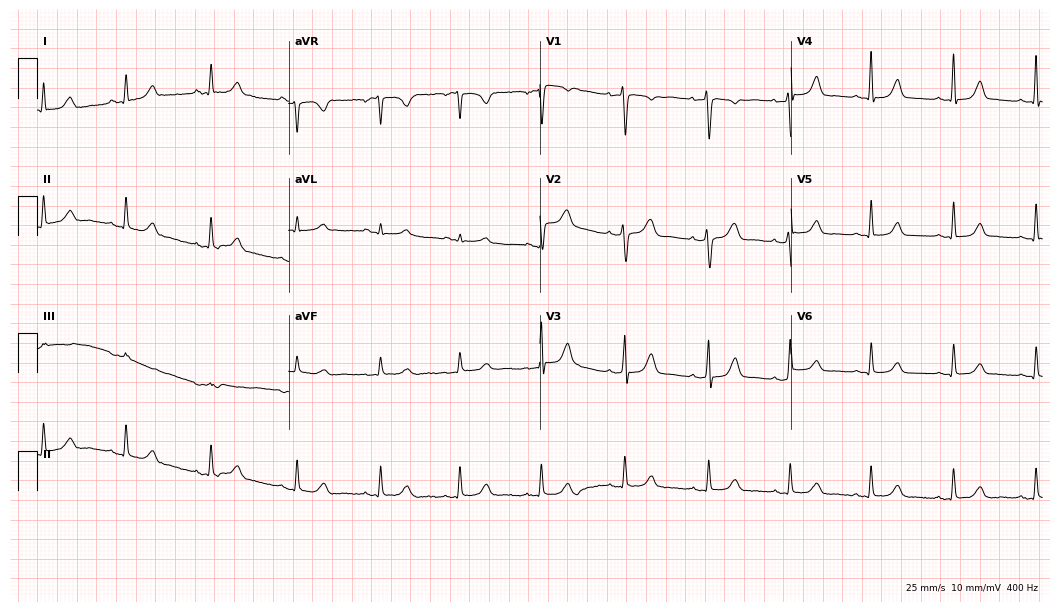
Resting 12-lead electrocardiogram. Patient: a 45-year-old female. Read as a normal ECG.